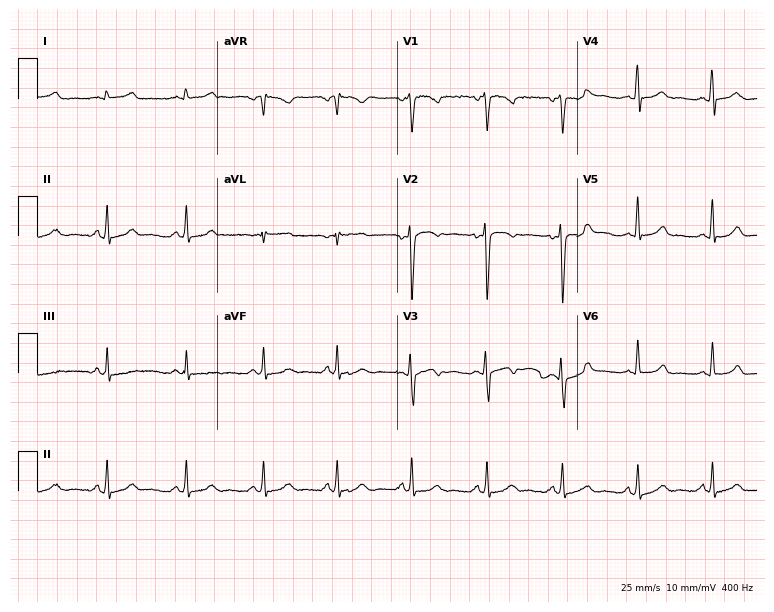
ECG — a 36-year-old female patient. Labelled as a normal ECG.